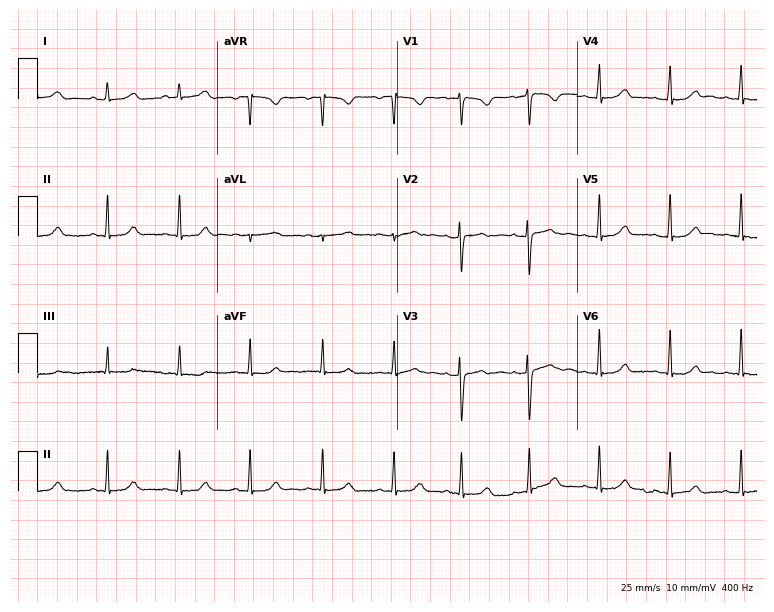
12-lead ECG from a 19-year-old female. Recorded interpretation: within normal limits.